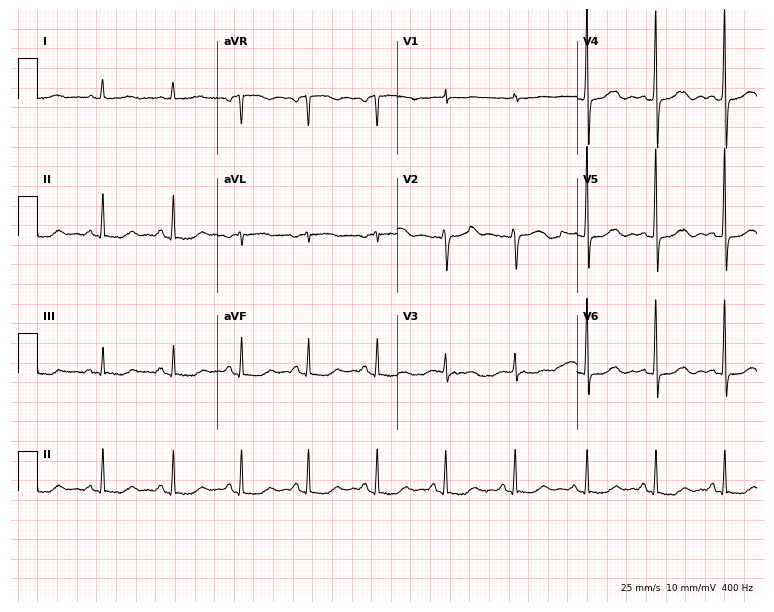
ECG — a female, 39 years old. Screened for six findings — first-degree AV block, right bundle branch block, left bundle branch block, sinus bradycardia, atrial fibrillation, sinus tachycardia — none is recorded. Other findings, if any, are not listed.